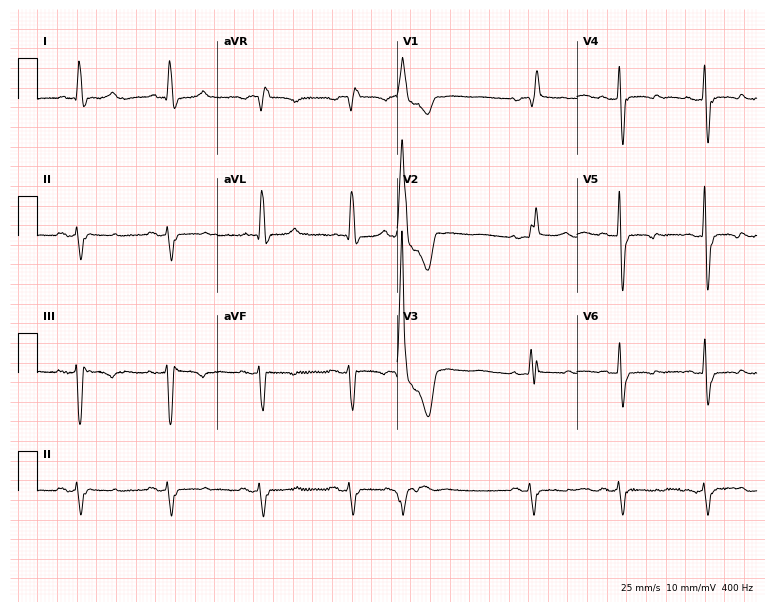
Resting 12-lead electrocardiogram. Patient: a woman, 84 years old. The tracing shows right bundle branch block.